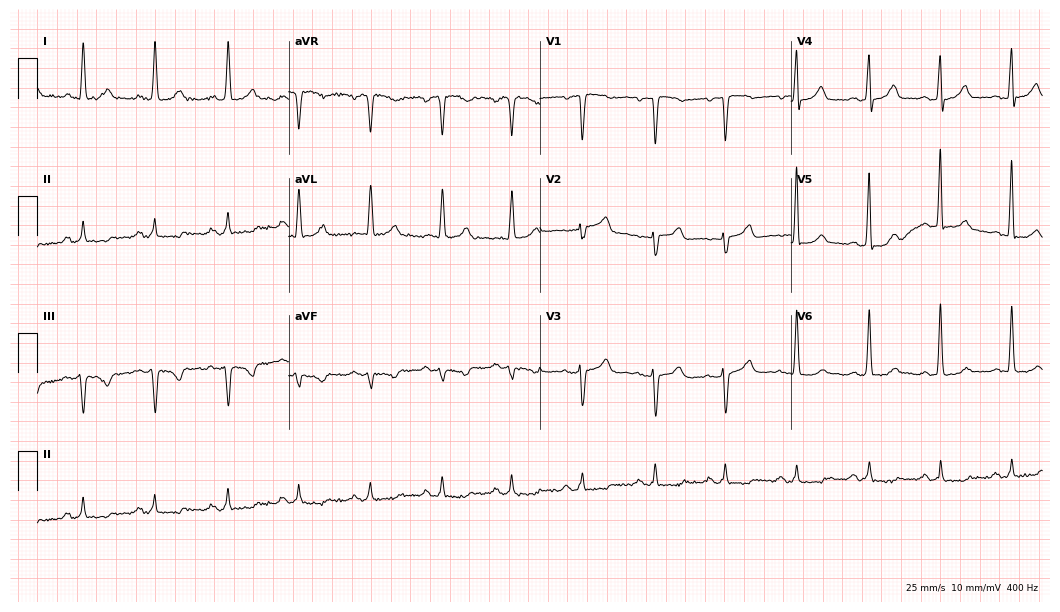
ECG — a female patient, 74 years old. Screened for six findings — first-degree AV block, right bundle branch block (RBBB), left bundle branch block (LBBB), sinus bradycardia, atrial fibrillation (AF), sinus tachycardia — none is recorded.